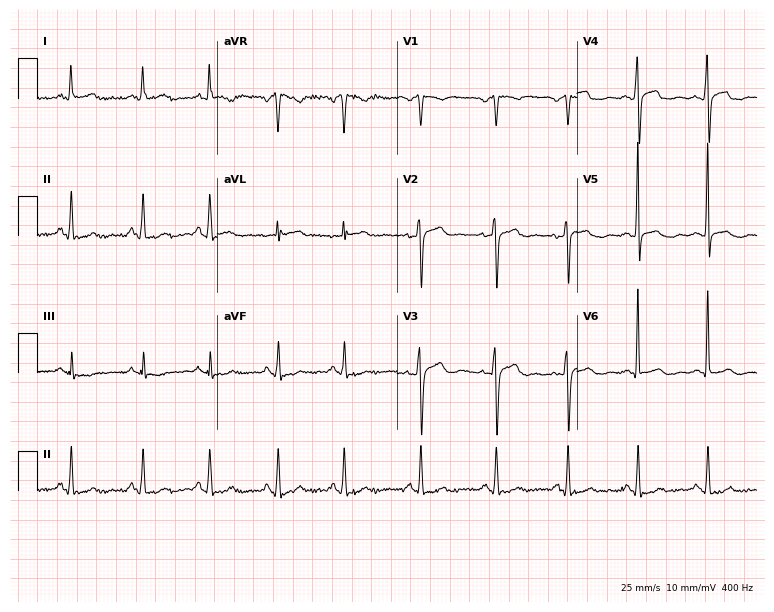
ECG — a 37-year-old female. Screened for six findings — first-degree AV block, right bundle branch block, left bundle branch block, sinus bradycardia, atrial fibrillation, sinus tachycardia — none is recorded. Findings outside these six are not listed.